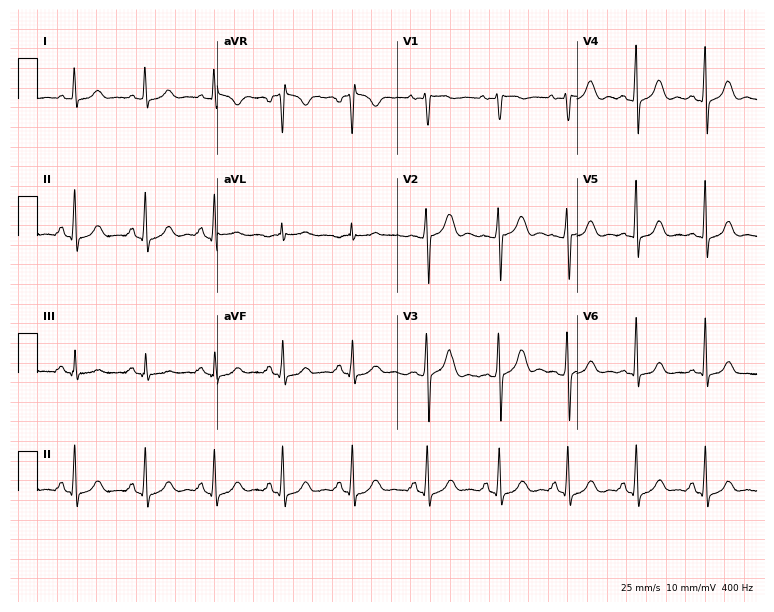
ECG (7.3-second recording at 400 Hz) — a female patient, 45 years old. Screened for six findings — first-degree AV block, right bundle branch block, left bundle branch block, sinus bradycardia, atrial fibrillation, sinus tachycardia — none is recorded.